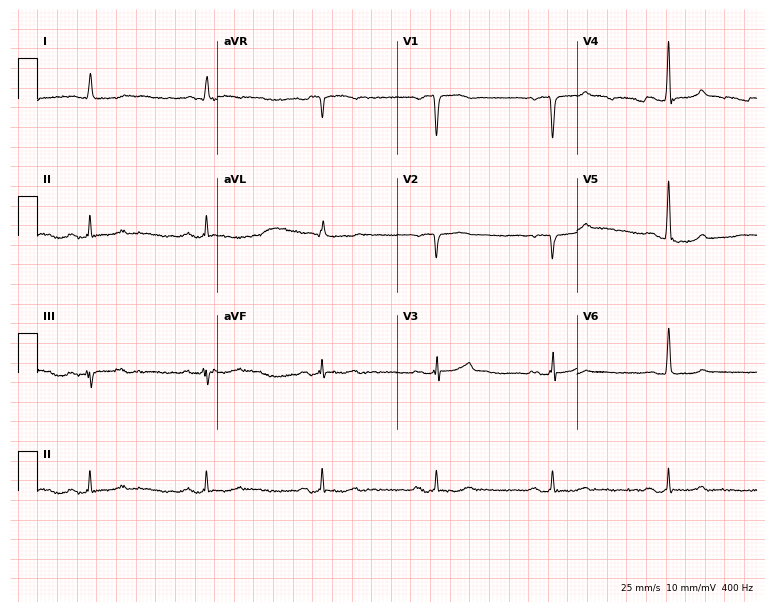
ECG (7.3-second recording at 400 Hz) — a man, 66 years old. Screened for six findings — first-degree AV block, right bundle branch block, left bundle branch block, sinus bradycardia, atrial fibrillation, sinus tachycardia — none is recorded.